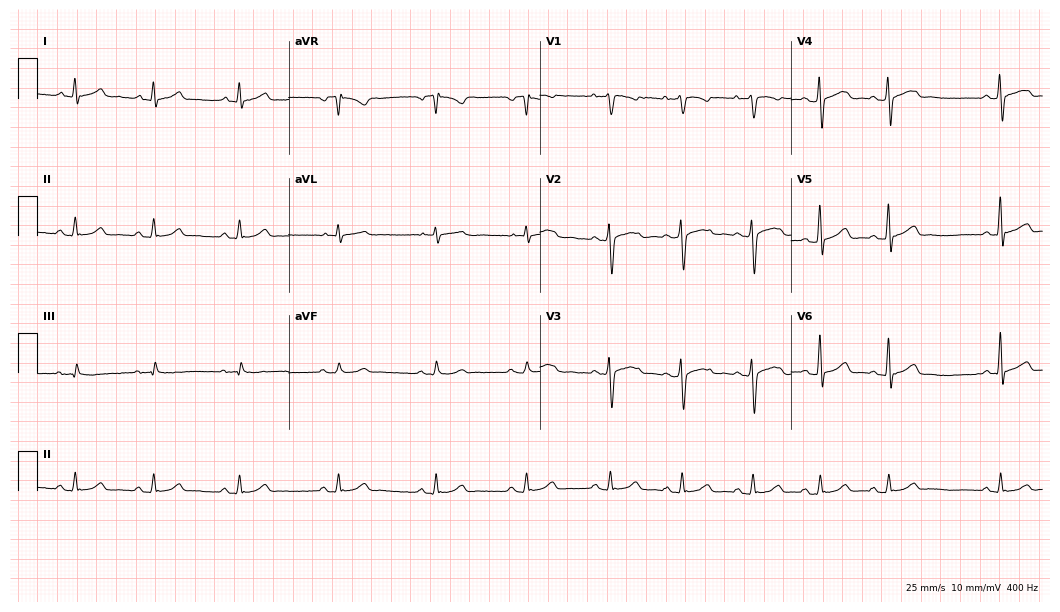
ECG — a female patient, 30 years old. Labelled as a normal ECG.